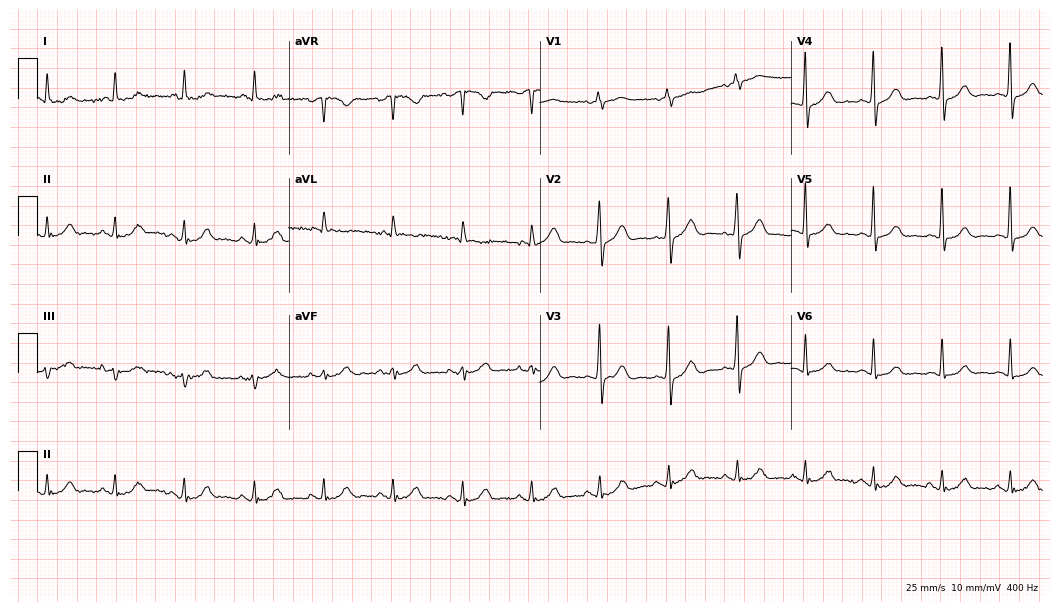
12-lead ECG from a woman, 80 years old. No first-degree AV block, right bundle branch block (RBBB), left bundle branch block (LBBB), sinus bradycardia, atrial fibrillation (AF) or sinus tachycardia recorded for this tracing.